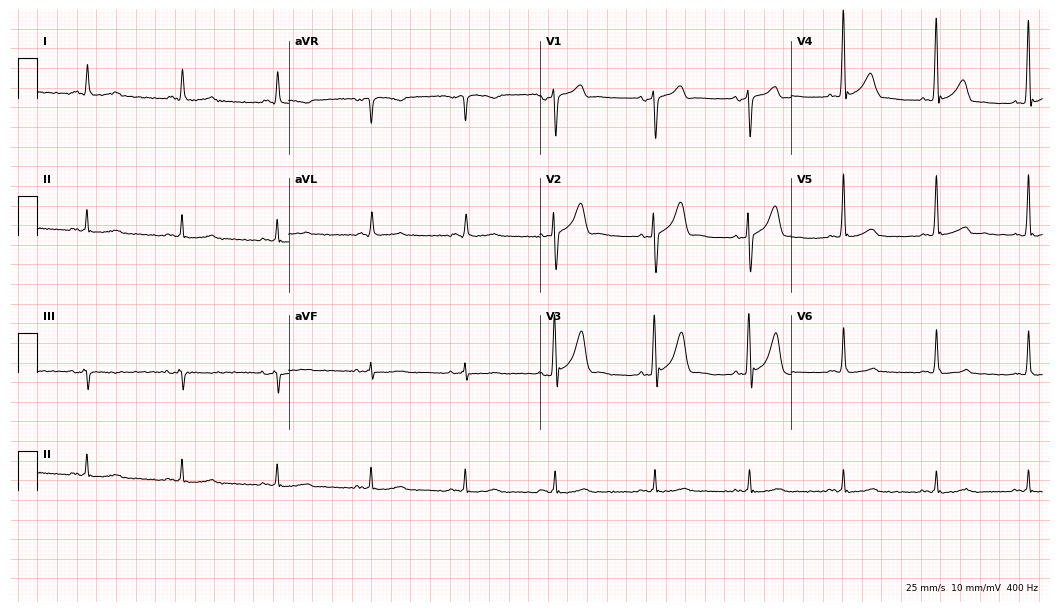
ECG — a 65-year-old male. Screened for six findings — first-degree AV block, right bundle branch block (RBBB), left bundle branch block (LBBB), sinus bradycardia, atrial fibrillation (AF), sinus tachycardia — none is recorded. Only these six findings were labelled.